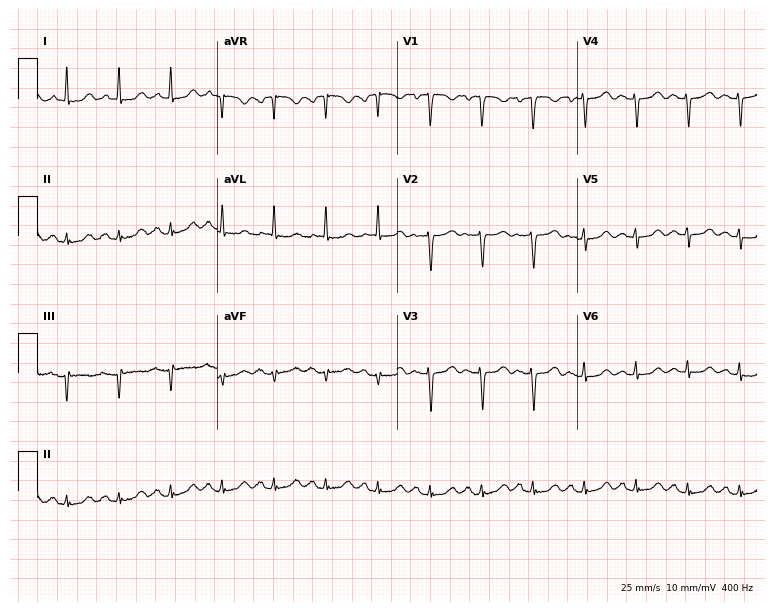
12-lead ECG (7.3-second recording at 400 Hz) from a 54-year-old female patient. Findings include sinus tachycardia (a sinus rate of 100 beats per minute or more).